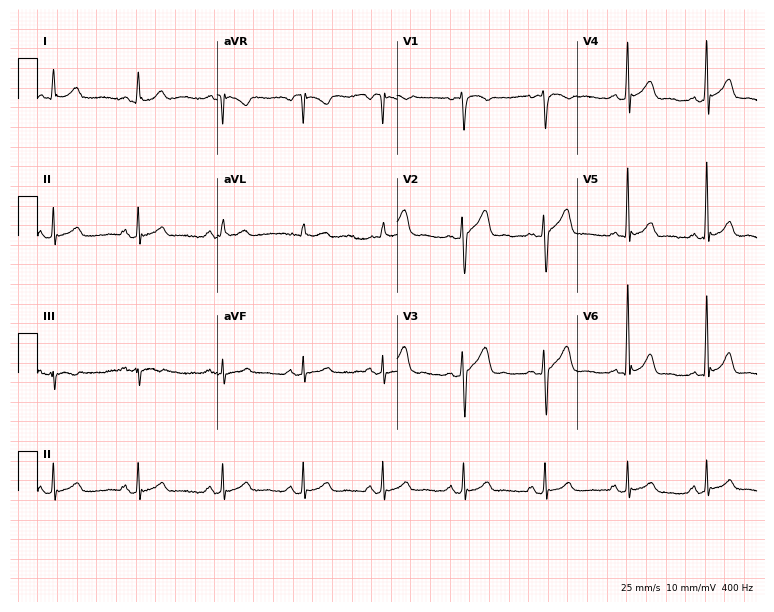
12-lead ECG (7.3-second recording at 400 Hz) from a 37-year-old male. Labelled as a normal ECG.